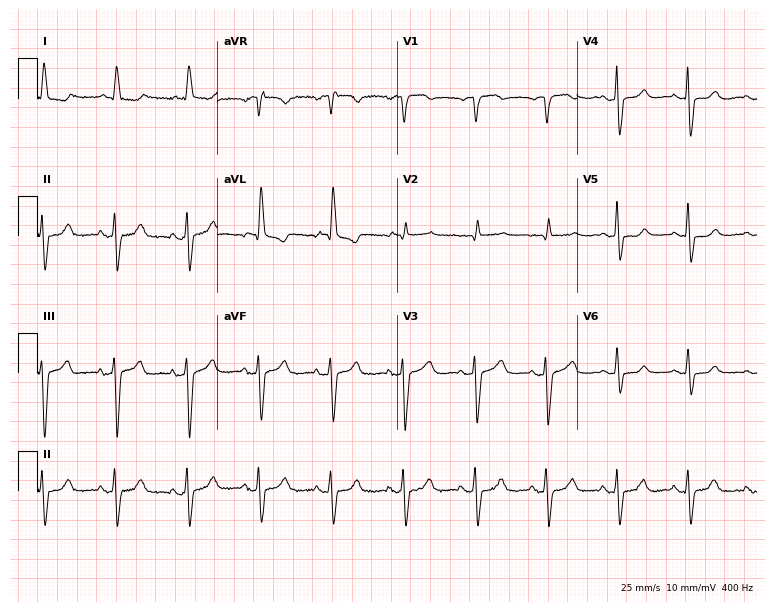
ECG (7.3-second recording at 400 Hz) — a female, 83 years old. Screened for six findings — first-degree AV block, right bundle branch block, left bundle branch block, sinus bradycardia, atrial fibrillation, sinus tachycardia — none is recorded. Other findings, if any, are not listed.